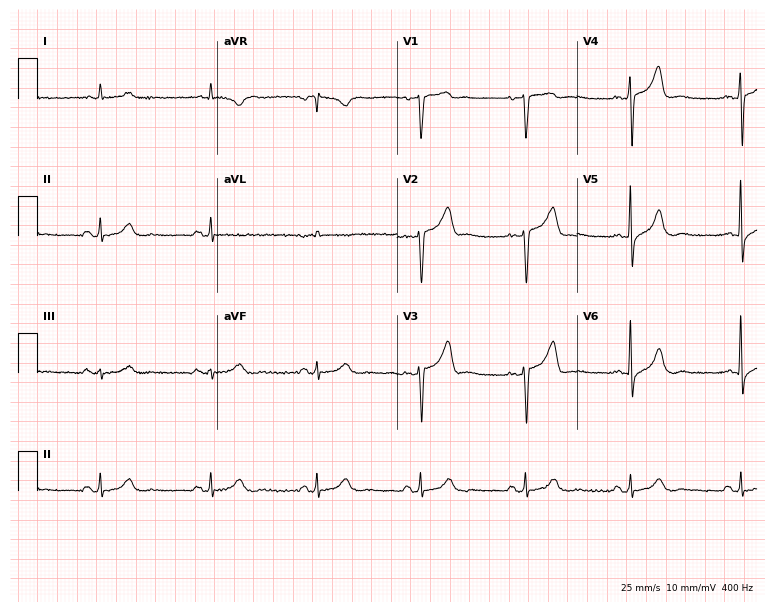
12-lead ECG from a male, 68 years old (7.3-second recording at 400 Hz). No first-degree AV block, right bundle branch block (RBBB), left bundle branch block (LBBB), sinus bradycardia, atrial fibrillation (AF) or sinus tachycardia recorded for this tracing. Other findings, if any, are not listed.